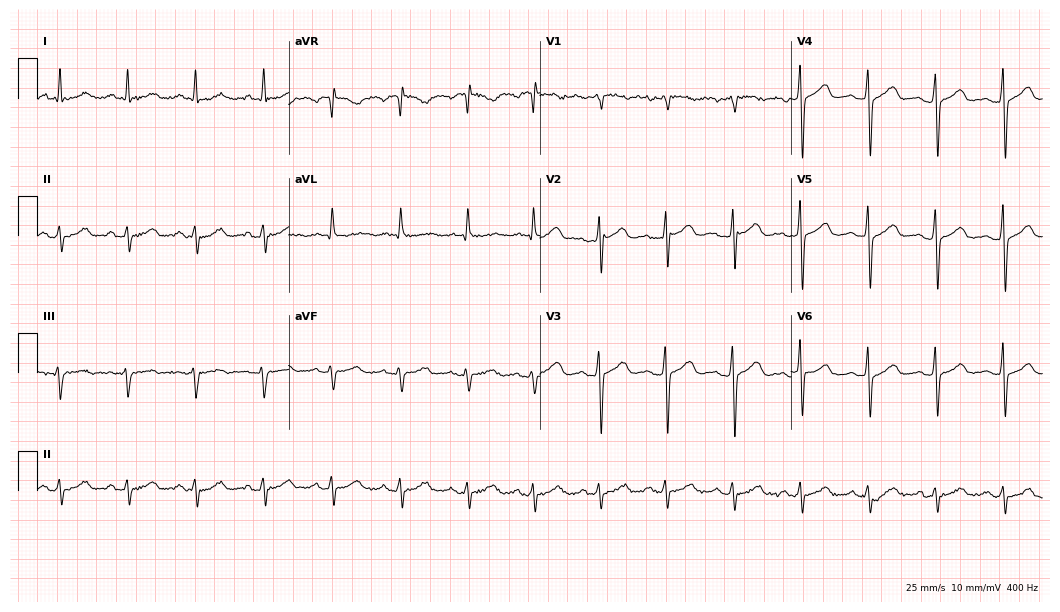
Electrocardiogram (10.2-second recording at 400 Hz), a 51-year-old male patient. Of the six screened findings (first-degree AV block, right bundle branch block, left bundle branch block, sinus bradycardia, atrial fibrillation, sinus tachycardia), none is recorded.